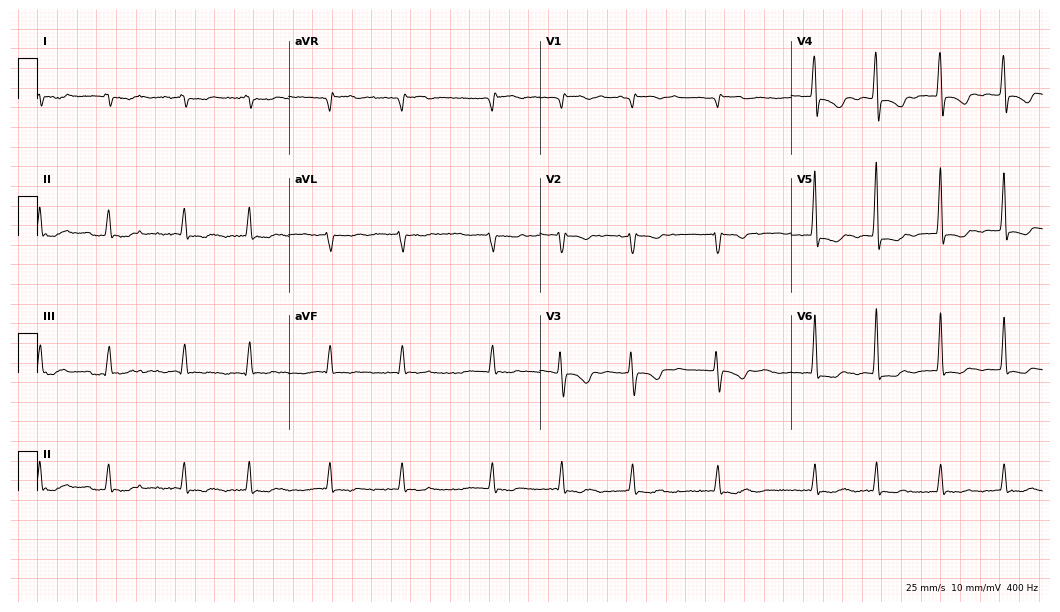
12-lead ECG from a 60-year-old woman. Findings include atrial fibrillation.